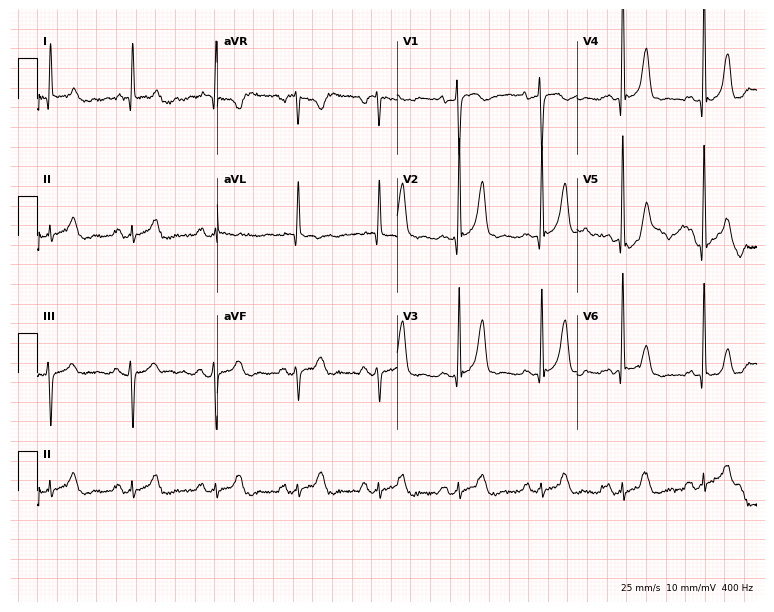
Electrocardiogram, a 62-year-old female. Of the six screened findings (first-degree AV block, right bundle branch block (RBBB), left bundle branch block (LBBB), sinus bradycardia, atrial fibrillation (AF), sinus tachycardia), none is recorded. Findings outside these six are not listed.